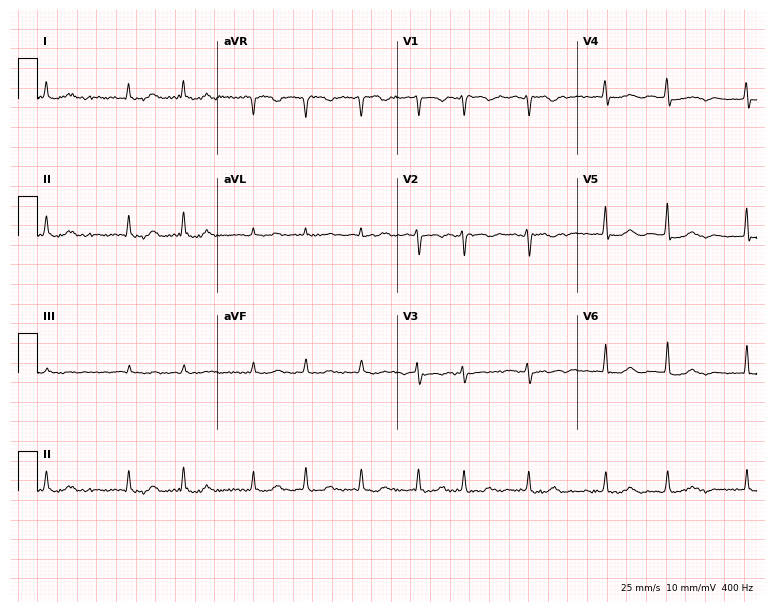
12-lead ECG from a 63-year-old female. Findings include atrial fibrillation.